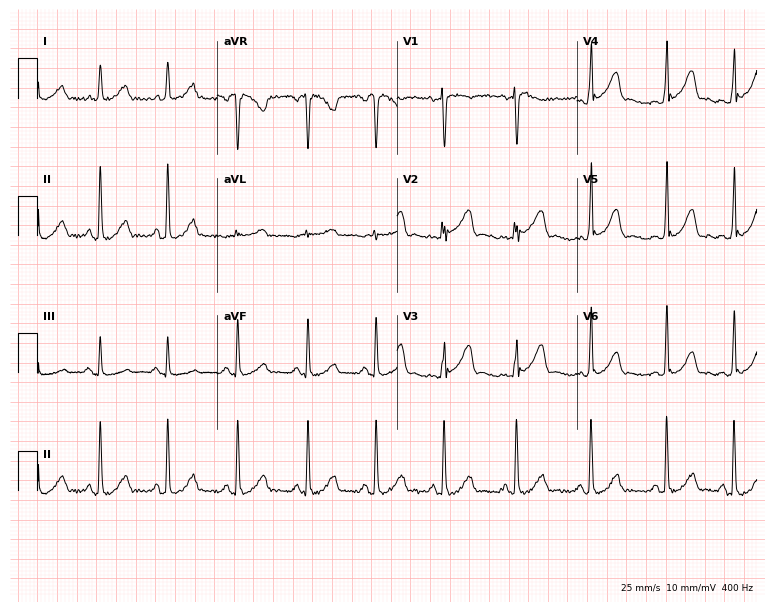
Standard 12-lead ECG recorded from a 31-year-old female patient. None of these six findings is recorded: first-degree AV block, right bundle branch block (RBBB), left bundle branch block (LBBB), sinus bradycardia, atrial fibrillation (AF), sinus tachycardia. Other findings, if any, are not listed.